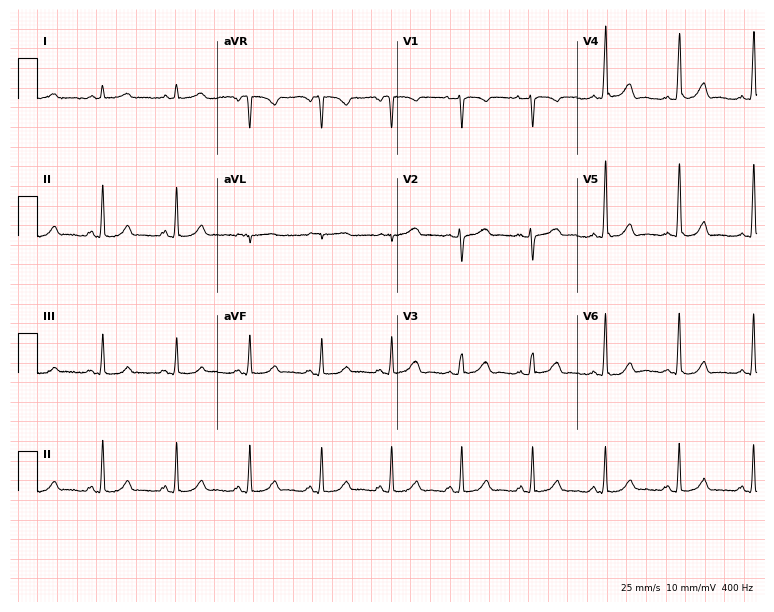
Electrocardiogram (7.3-second recording at 400 Hz), a woman, 46 years old. Overall reading on record: normal ECG.